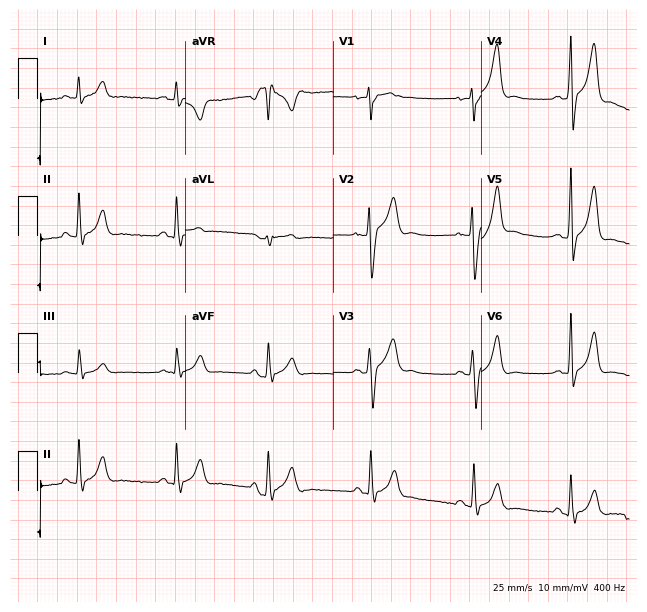
ECG (6-second recording at 400 Hz) — a male, 19 years old. Labelled as a normal ECG.